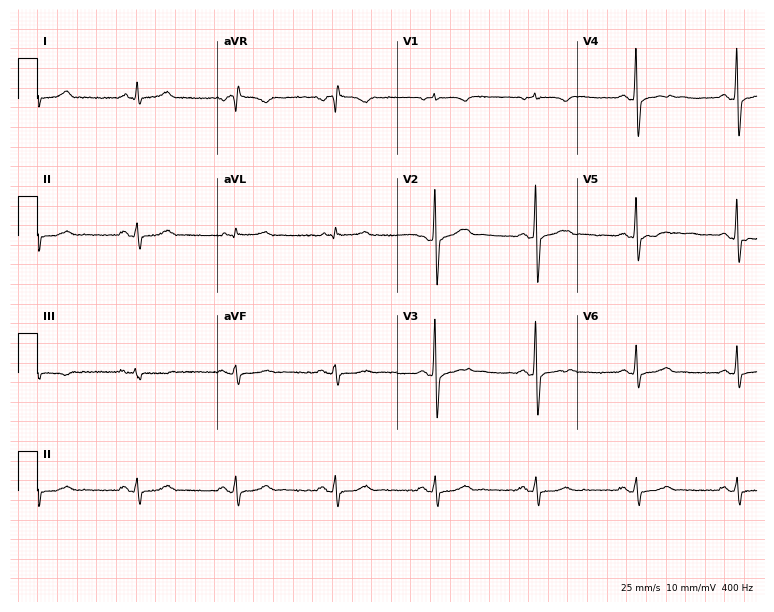
Electrocardiogram (7.3-second recording at 400 Hz), a male patient, 65 years old. Overall reading on record: normal ECG.